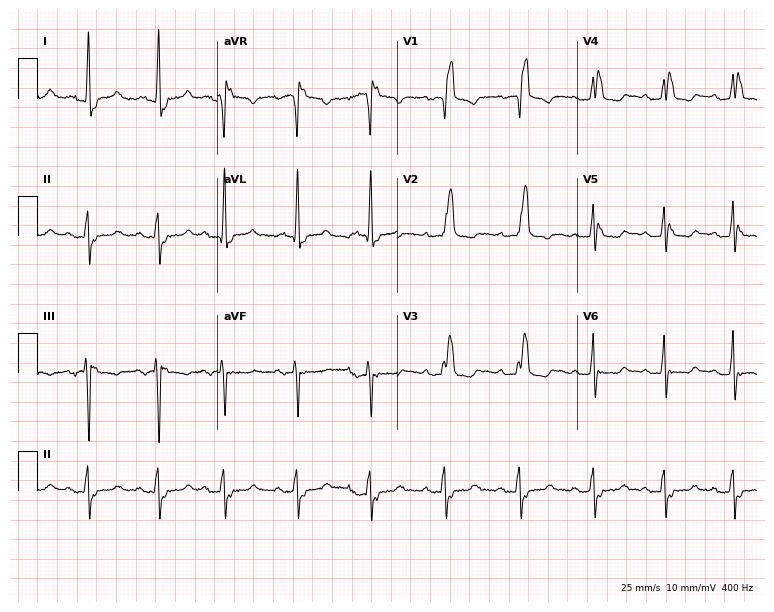
Electrocardiogram (7.3-second recording at 400 Hz), a 70-year-old female. Interpretation includes right bundle branch block (RBBB).